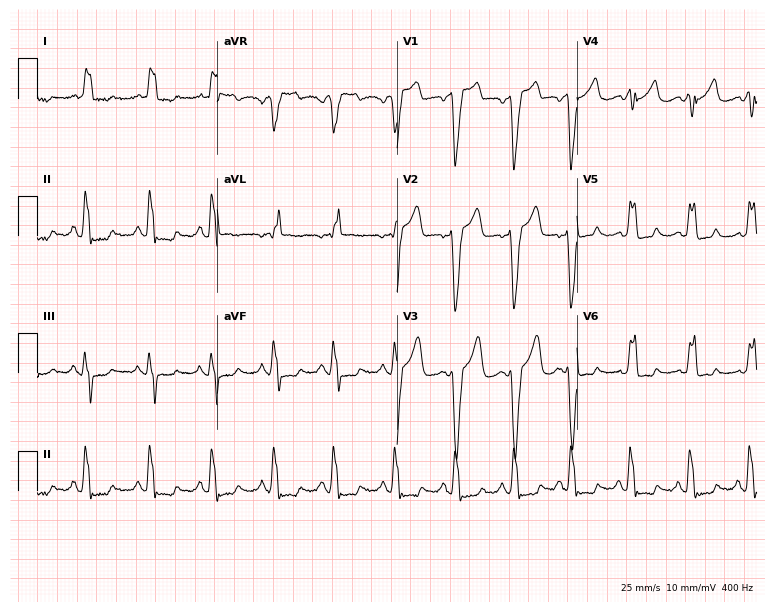
Resting 12-lead electrocardiogram. Patient: a 68-year-old woman. The tracing shows left bundle branch block.